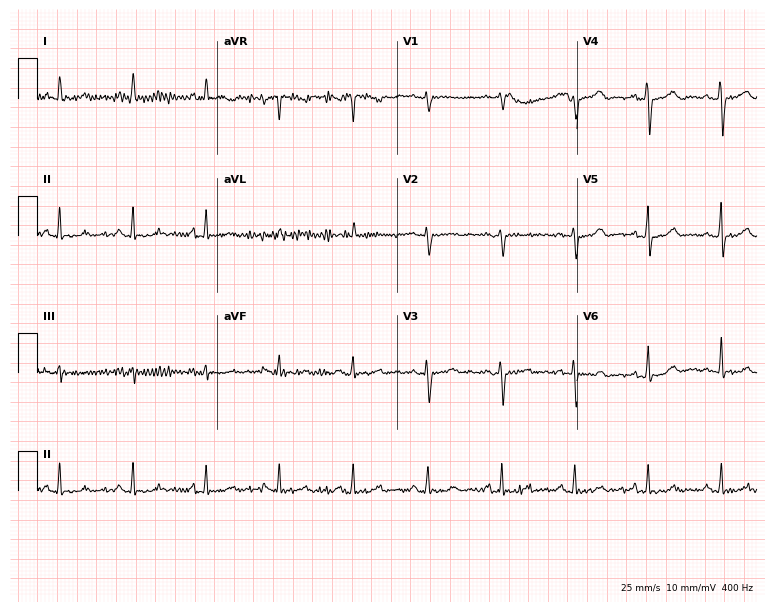
12-lead ECG (7.3-second recording at 400 Hz) from a male patient, 50 years old. Screened for six findings — first-degree AV block, right bundle branch block, left bundle branch block, sinus bradycardia, atrial fibrillation, sinus tachycardia — none is recorded.